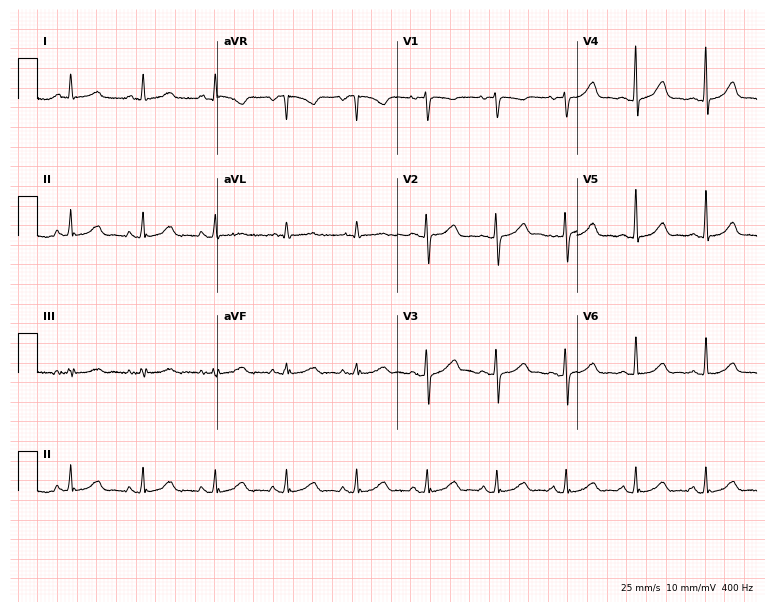
12-lead ECG (7.3-second recording at 400 Hz) from a female, 54 years old. Labelled as a normal ECG.